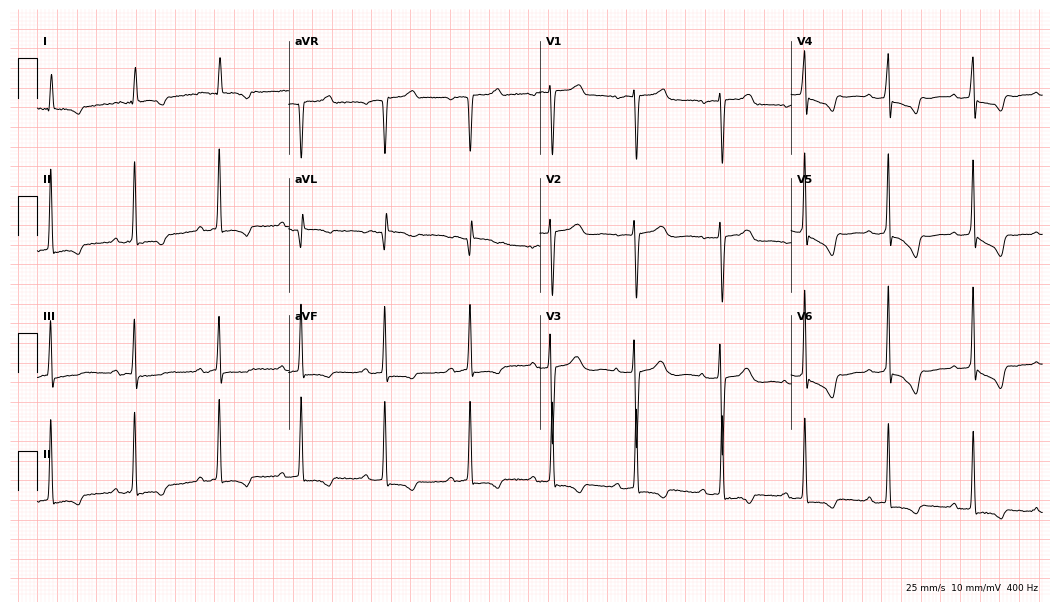
ECG — a woman, 77 years old. Screened for six findings — first-degree AV block, right bundle branch block, left bundle branch block, sinus bradycardia, atrial fibrillation, sinus tachycardia — none is recorded. Findings outside these six are not listed.